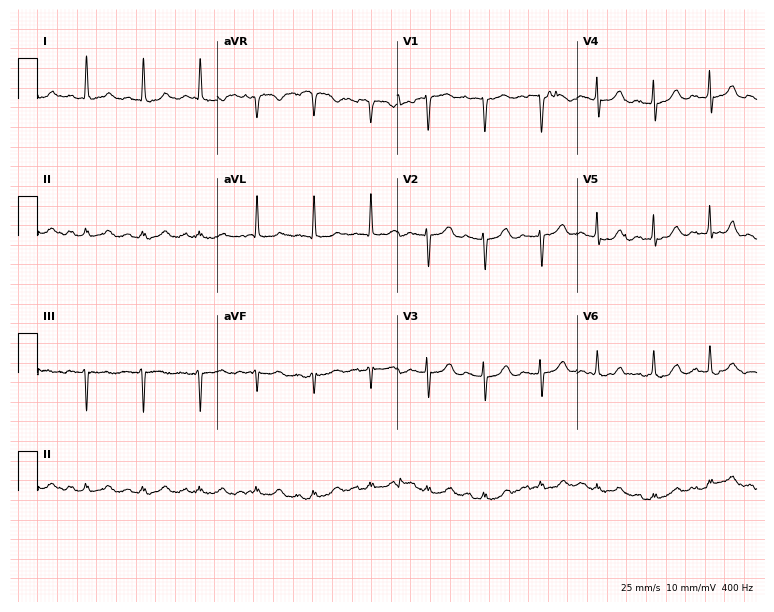
12-lead ECG (7.3-second recording at 400 Hz) from a female, 78 years old. Findings include sinus tachycardia (a sinus rate of 100 beats per minute or more).